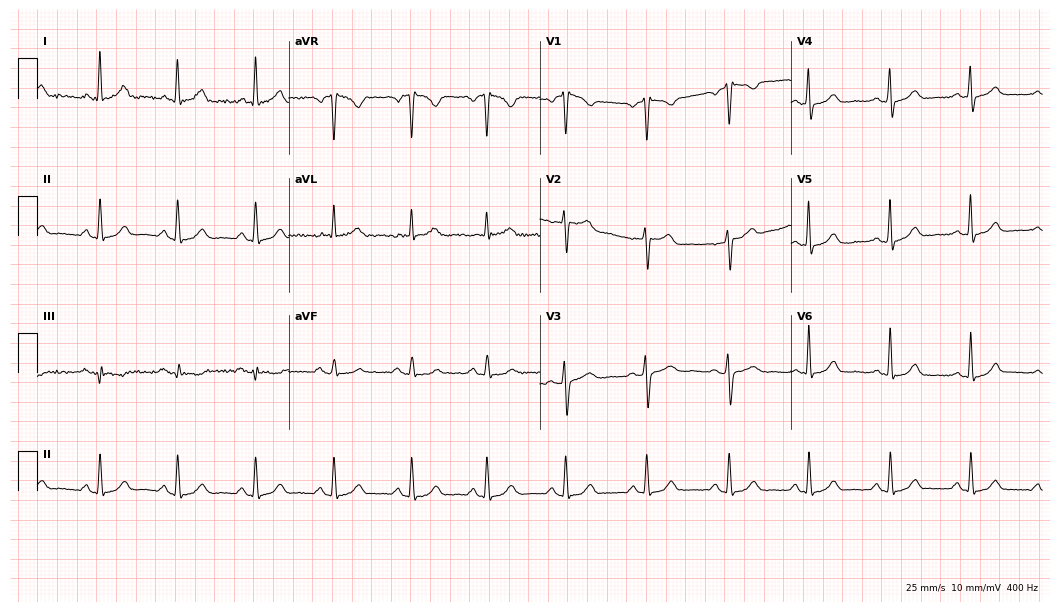
Electrocardiogram, a 48-year-old woman. Of the six screened findings (first-degree AV block, right bundle branch block, left bundle branch block, sinus bradycardia, atrial fibrillation, sinus tachycardia), none is recorded.